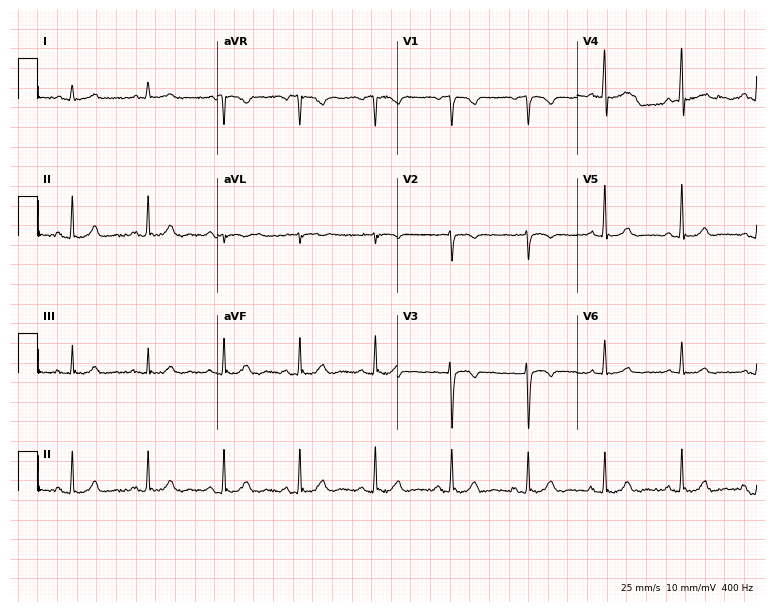
12-lead ECG from a 76-year-old male (7.3-second recording at 400 Hz). Recorded interpretation: within normal limits.